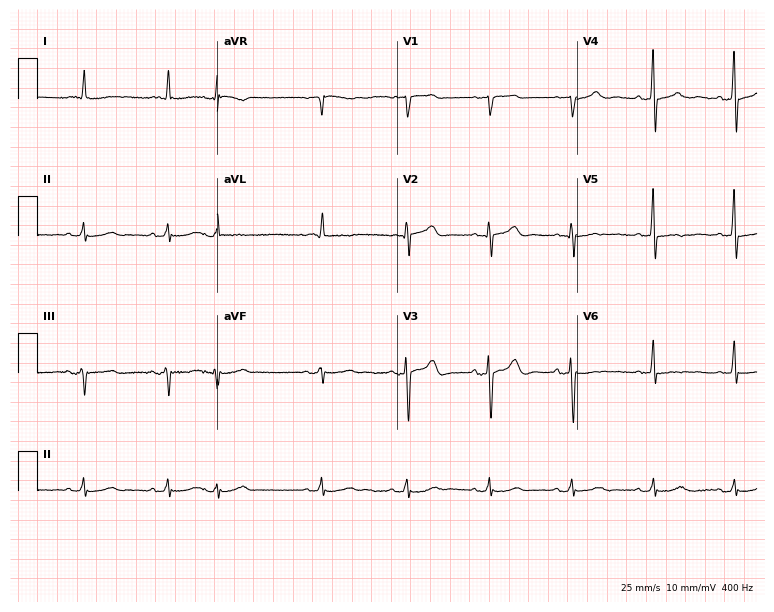
Electrocardiogram, a male patient, 83 years old. Of the six screened findings (first-degree AV block, right bundle branch block (RBBB), left bundle branch block (LBBB), sinus bradycardia, atrial fibrillation (AF), sinus tachycardia), none is recorded.